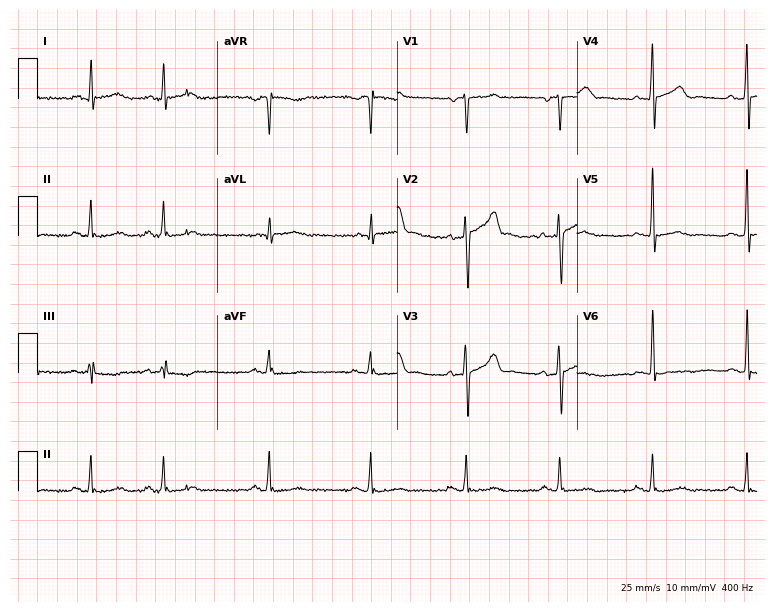
Electrocardiogram (7.3-second recording at 400 Hz), a 63-year-old male. Of the six screened findings (first-degree AV block, right bundle branch block, left bundle branch block, sinus bradycardia, atrial fibrillation, sinus tachycardia), none is recorded.